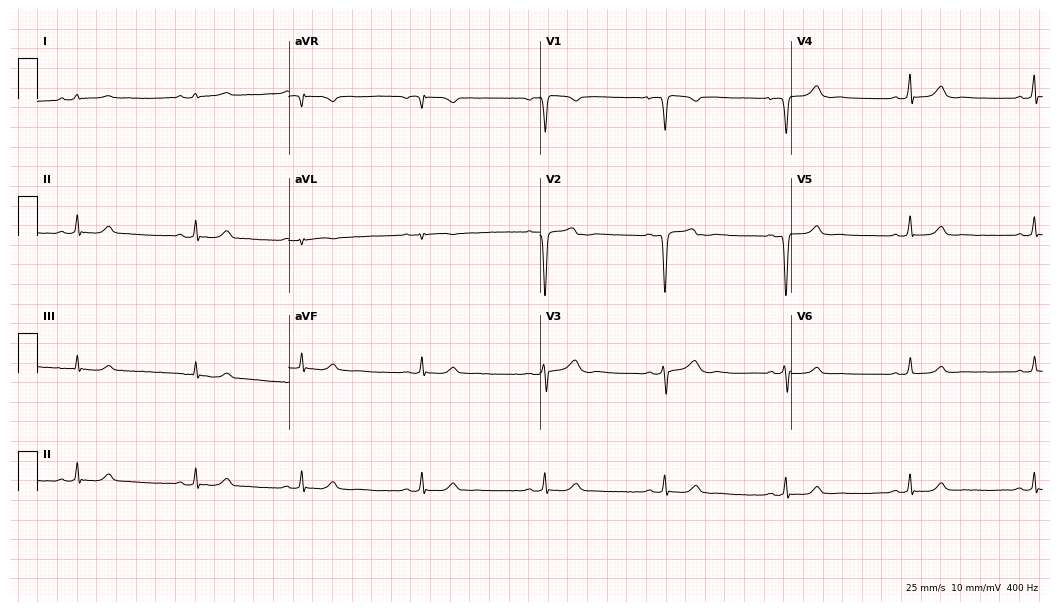
Standard 12-lead ECG recorded from a 40-year-old female patient. The tracing shows sinus bradycardia (a sinus rate of 50 beats per minute or less).